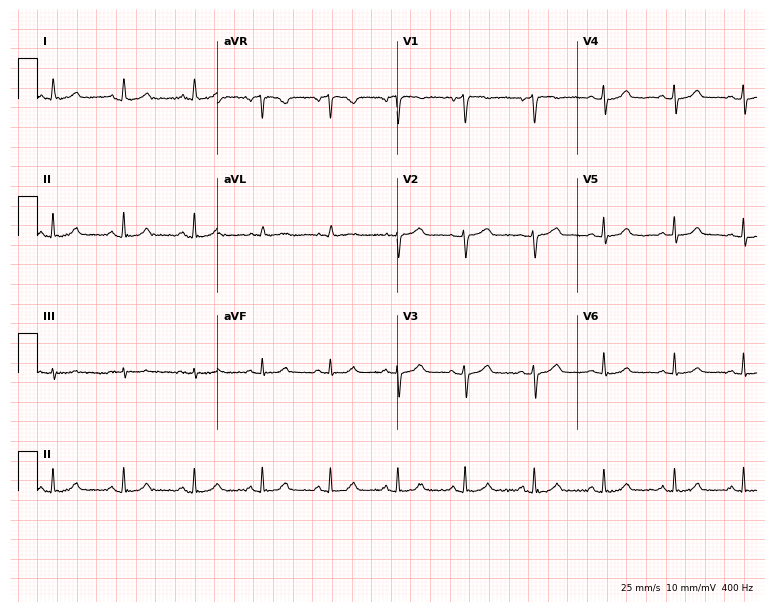
12-lead ECG from a 54-year-old female. Screened for six findings — first-degree AV block, right bundle branch block, left bundle branch block, sinus bradycardia, atrial fibrillation, sinus tachycardia — none is recorded. Other findings, if any, are not listed.